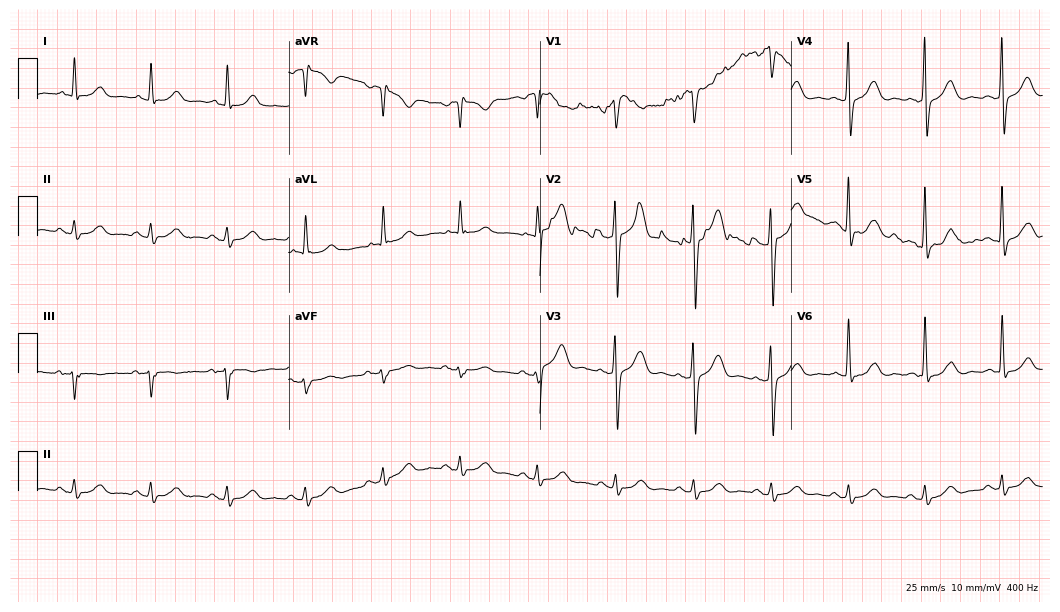
Resting 12-lead electrocardiogram (10.2-second recording at 400 Hz). Patient: a 73-year-old male. Read as a normal ECG.